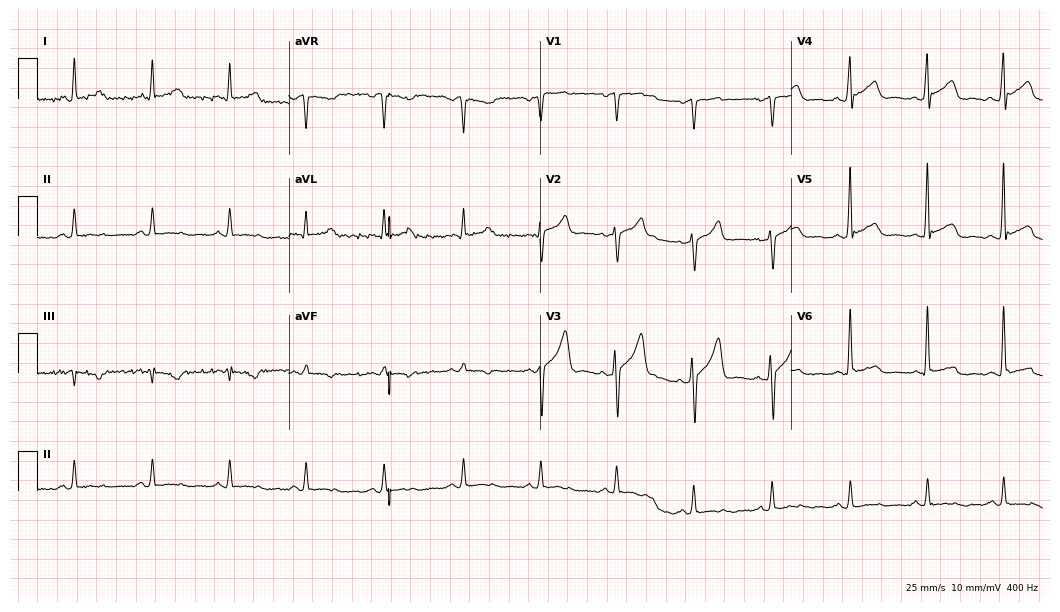
Standard 12-lead ECG recorded from a 27-year-old male. Read as a normal ECG.